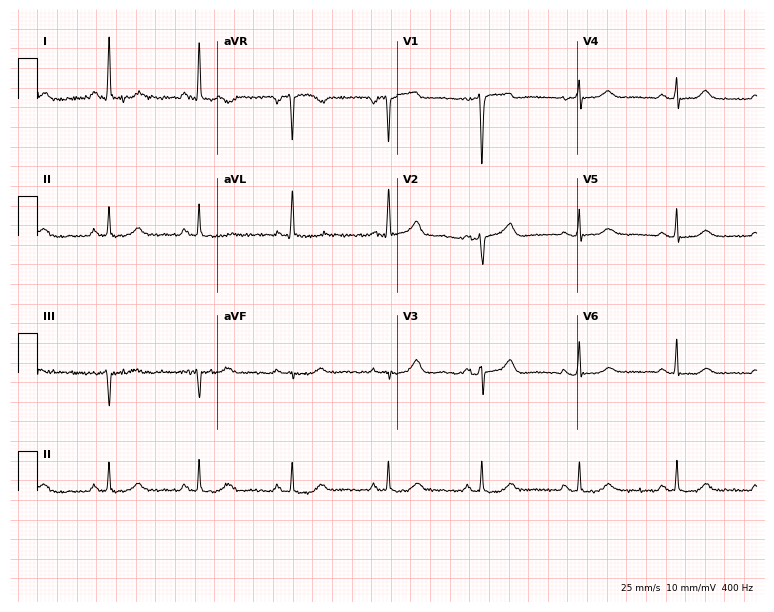
12-lead ECG from a 53-year-old female (7.3-second recording at 400 Hz). Recorded interpretation: within normal limits.